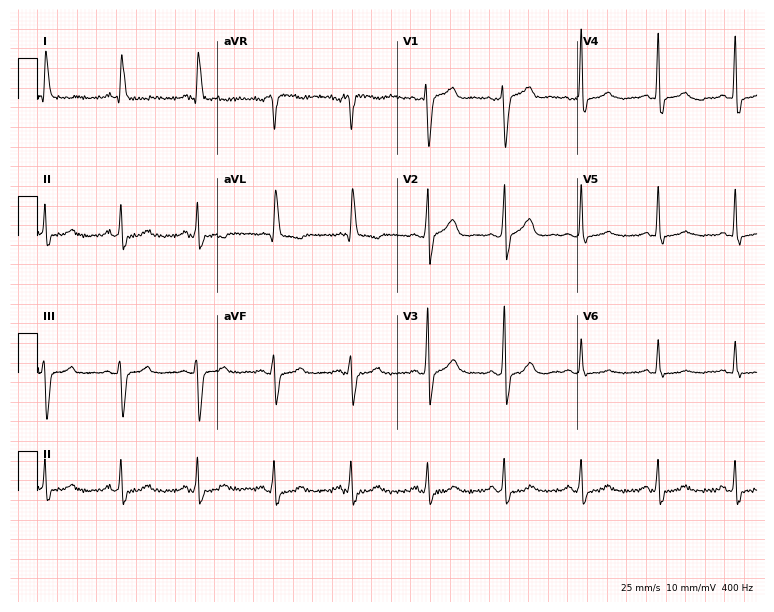
12-lead ECG from a male, 74 years old (7.3-second recording at 400 Hz). No first-degree AV block, right bundle branch block (RBBB), left bundle branch block (LBBB), sinus bradycardia, atrial fibrillation (AF) or sinus tachycardia recorded for this tracing. Other findings, if any, are not listed.